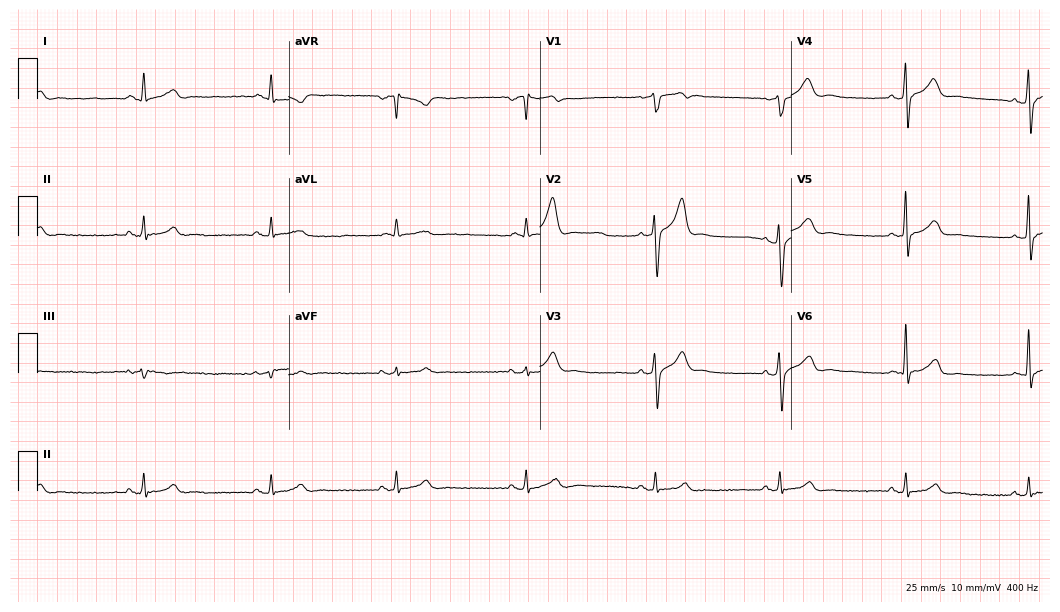
Electrocardiogram, a 46-year-old man. Overall reading on record: normal ECG.